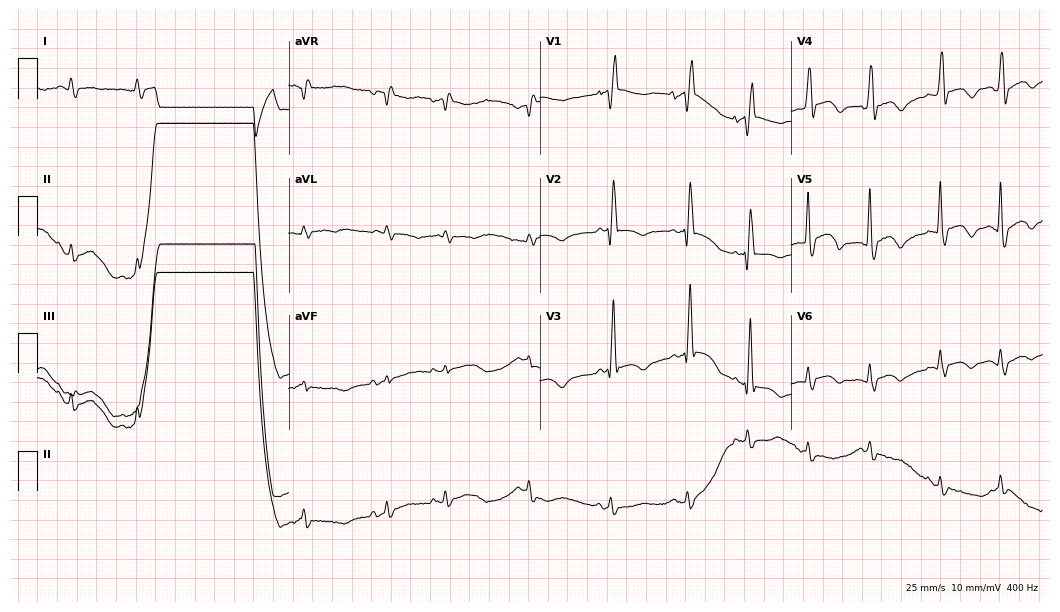
Standard 12-lead ECG recorded from an 80-year-old woman. The tracing shows right bundle branch block.